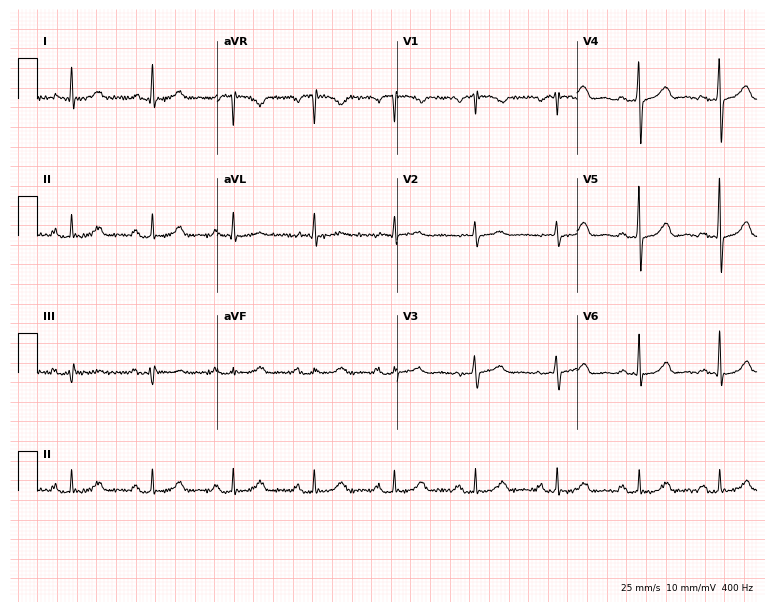
Standard 12-lead ECG recorded from a 67-year-old female patient. None of these six findings is recorded: first-degree AV block, right bundle branch block, left bundle branch block, sinus bradycardia, atrial fibrillation, sinus tachycardia. Other findings, if any, are not listed.